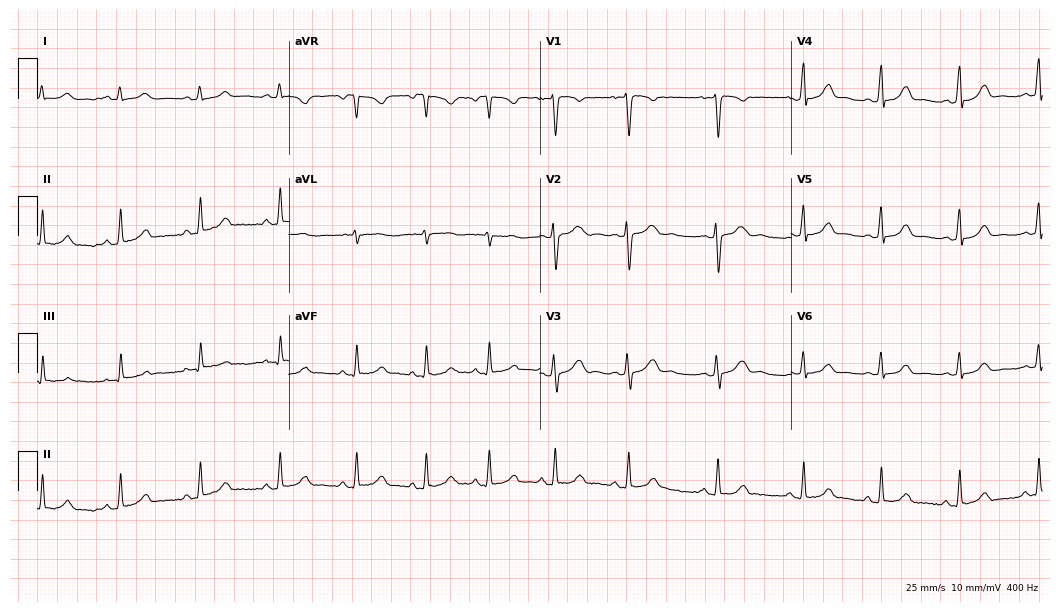
Resting 12-lead electrocardiogram. Patient: a 28-year-old male. Read as a normal ECG.